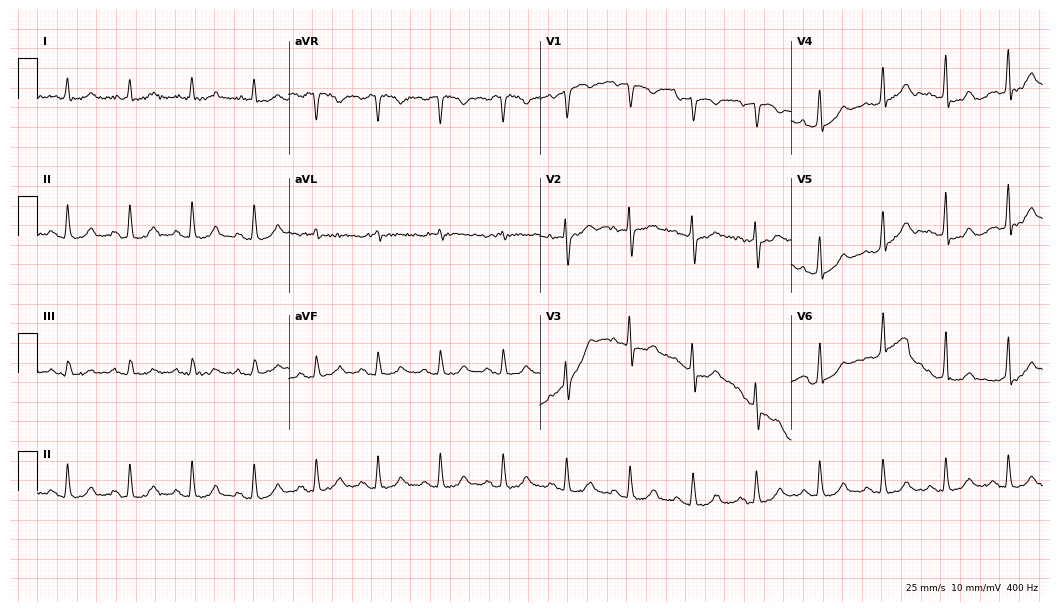
12-lead ECG from a 73-year-old male patient. Recorded interpretation: within normal limits.